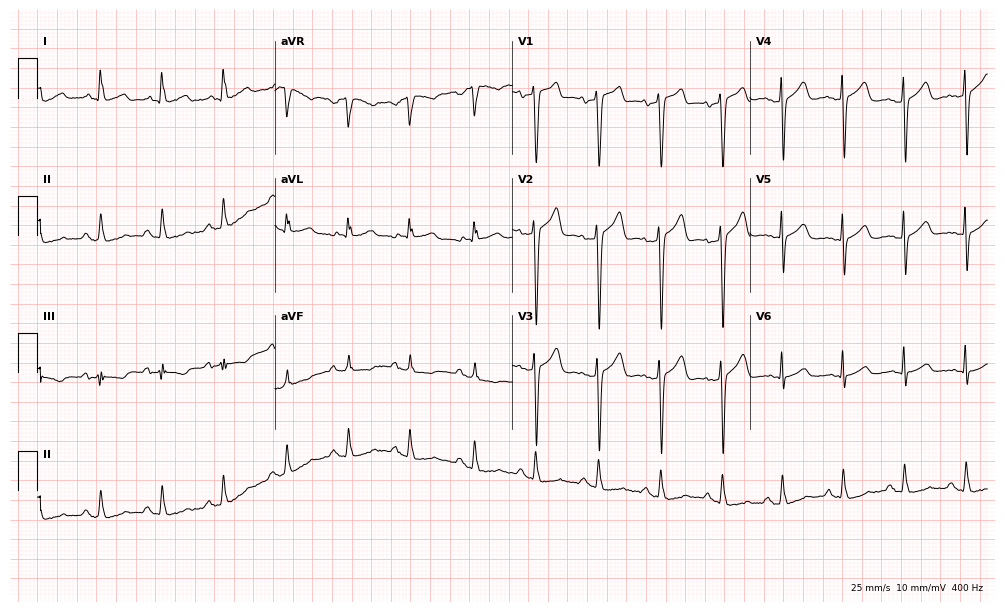
Standard 12-lead ECG recorded from a man, 76 years old. Read as a normal ECG.